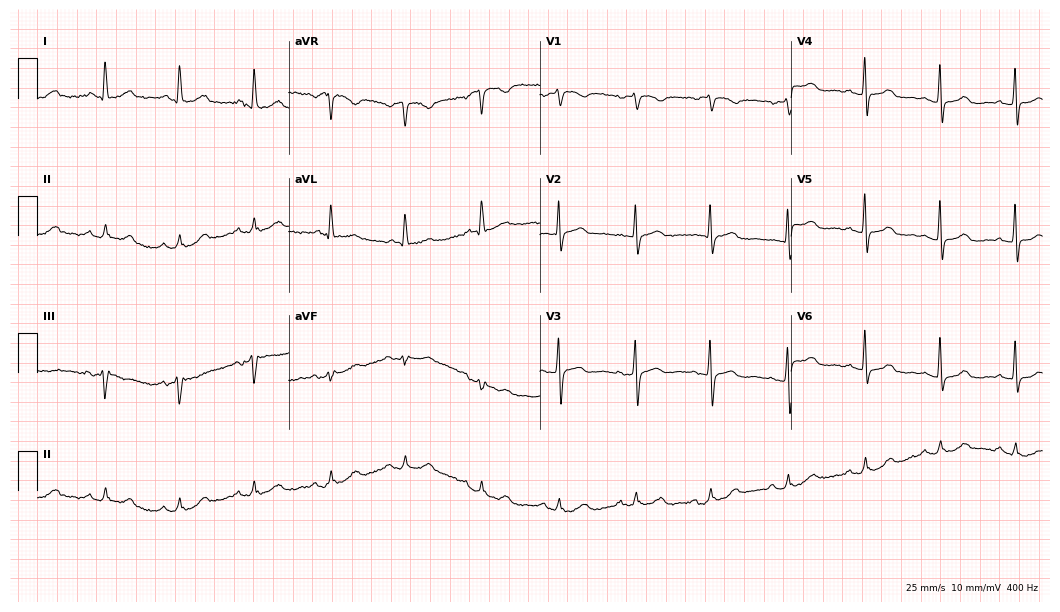
12-lead ECG from a female patient, 80 years old (10.2-second recording at 400 Hz). No first-degree AV block, right bundle branch block (RBBB), left bundle branch block (LBBB), sinus bradycardia, atrial fibrillation (AF) or sinus tachycardia recorded for this tracing. Only these six findings were labelled.